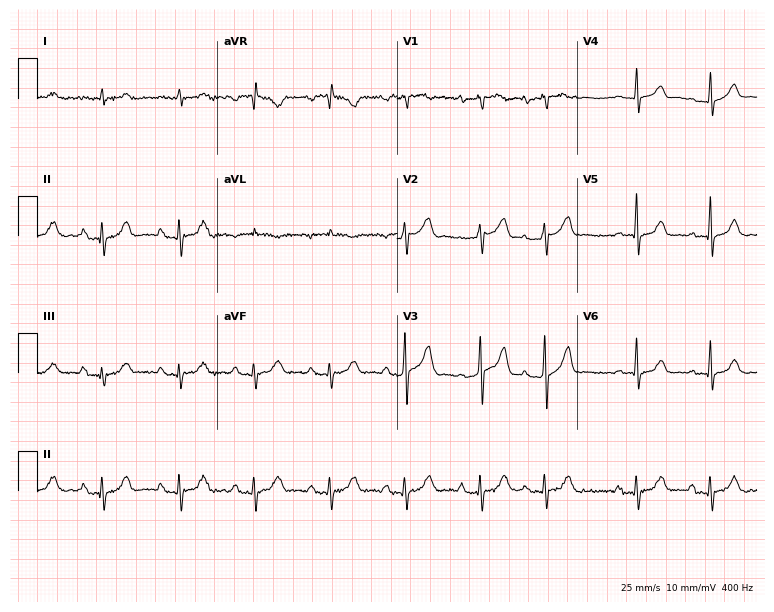
Resting 12-lead electrocardiogram. Patient: an 84-year-old male. None of these six findings is recorded: first-degree AV block, right bundle branch block, left bundle branch block, sinus bradycardia, atrial fibrillation, sinus tachycardia. Only these six findings were labelled.